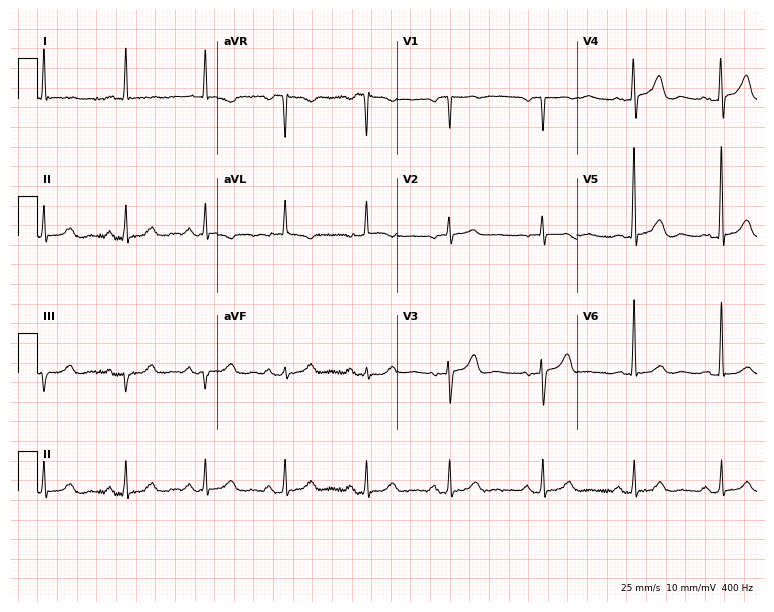
12-lead ECG from an 85-year-old female patient. Labelled as a normal ECG.